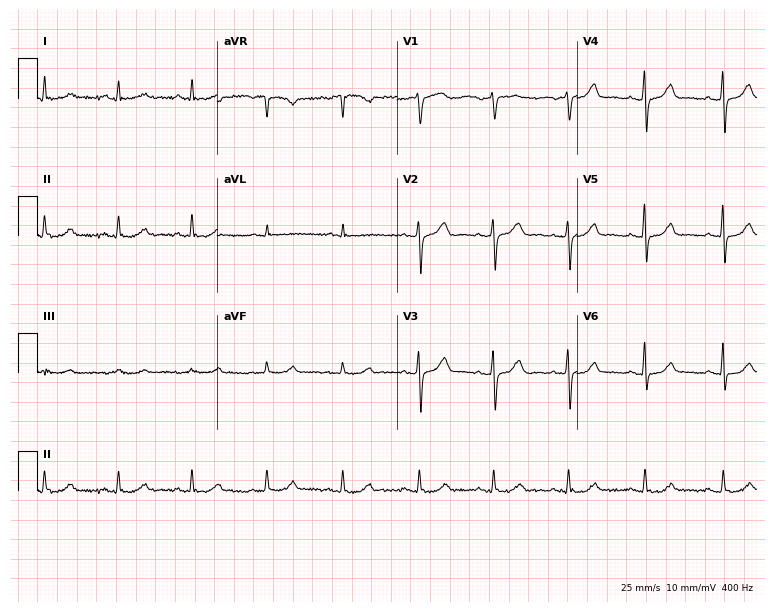
12-lead ECG from a 59-year-old woman. Recorded interpretation: within normal limits.